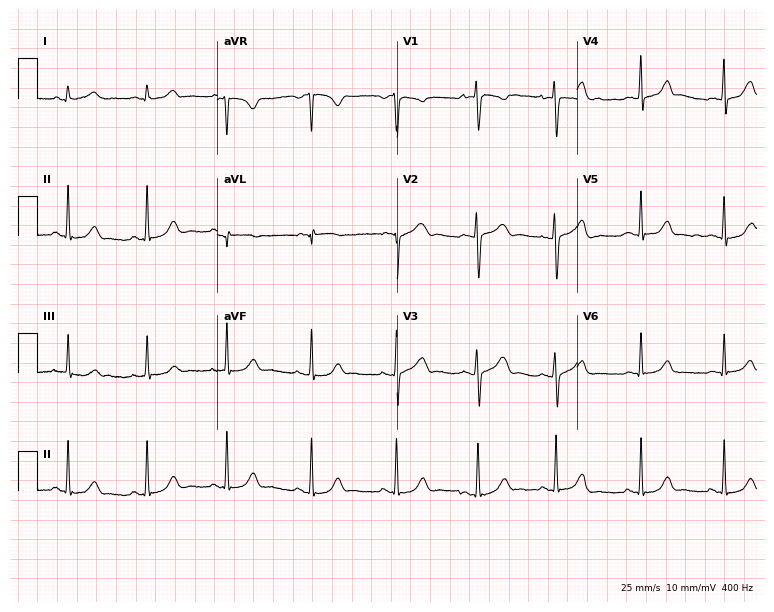
Electrocardiogram, a 20-year-old woman. Overall reading on record: normal ECG.